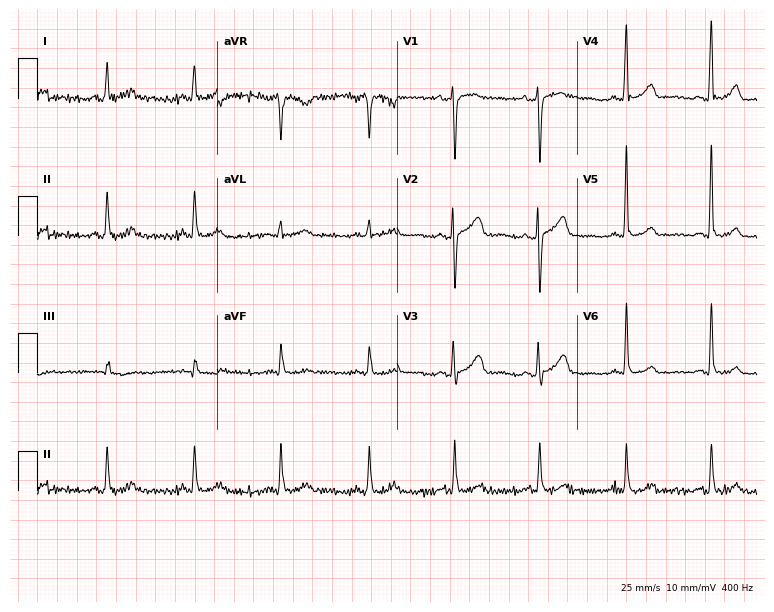
ECG — a 47-year-old female. Screened for six findings — first-degree AV block, right bundle branch block, left bundle branch block, sinus bradycardia, atrial fibrillation, sinus tachycardia — none is recorded.